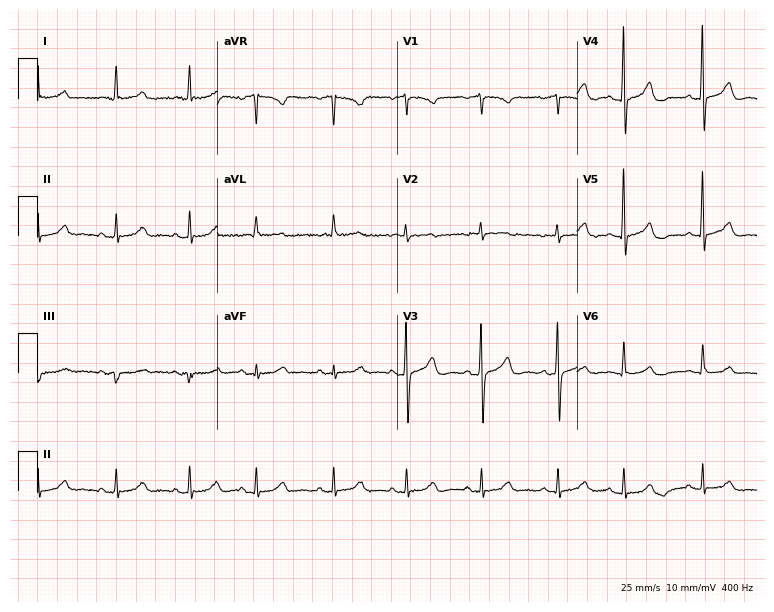
Resting 12-lead electrocardiogram (7.3-second recording at 400 Hz). Patient: a 79-year-old woman. Read as a normal ECG.